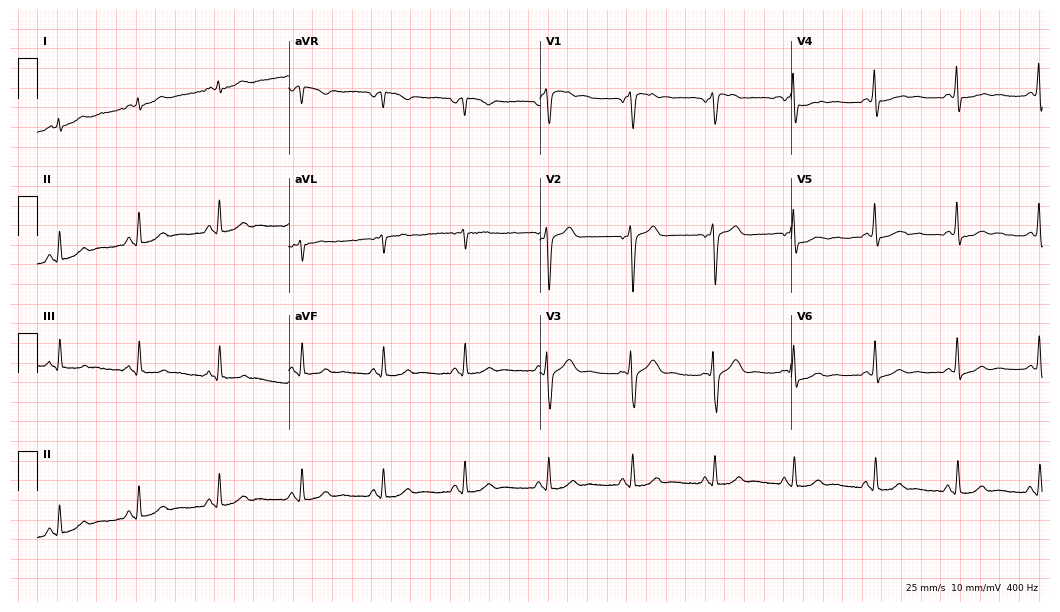
12-lead ECG from a 25-year-old male. Screened for six findings — first-degree AV block, right bundle branch block, left bundle branch block, sinus bradycardia, atrial fibrillation, sinus tachycardia — none is recorded. Only these six findings were labelled.